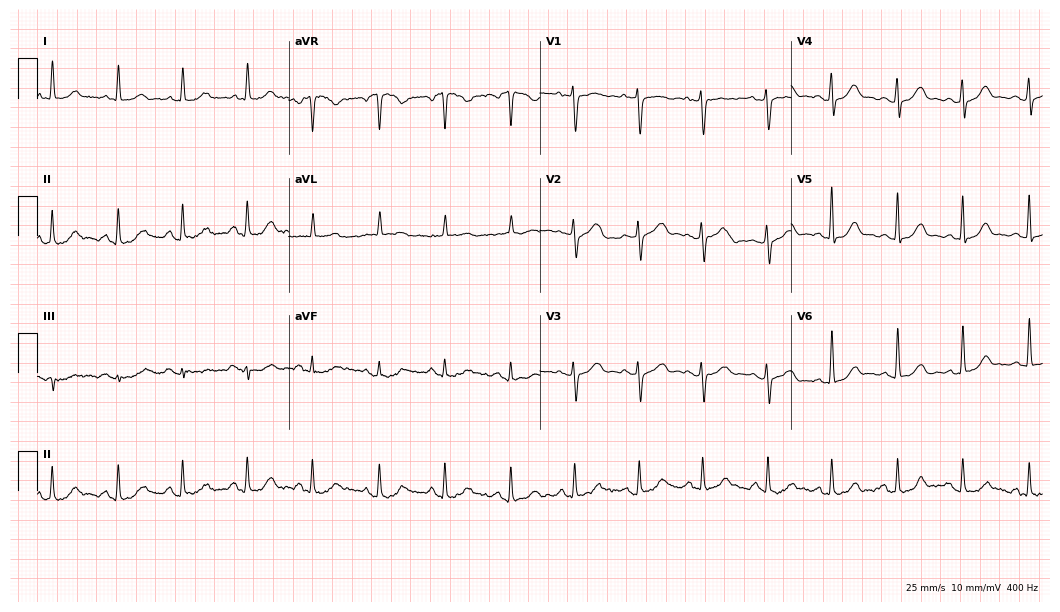
ECG (10.2-second recording at 400 Hz) — a woman, 74 years old. Labelled as a normal ECG.